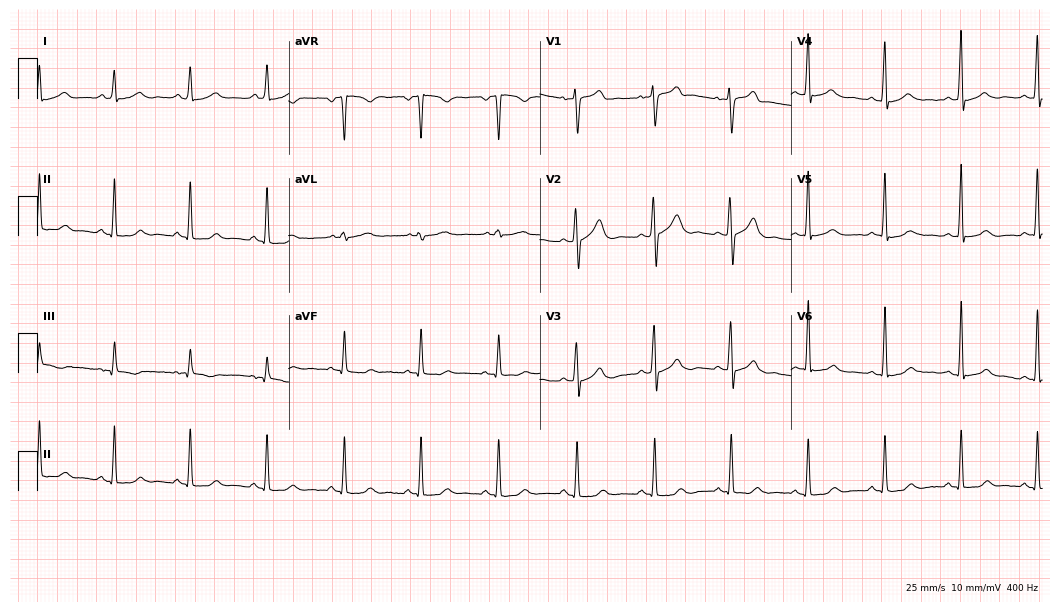
12-lead ECG (10.2-second recording at 400 Hz) from a man, 48 years old. Labelled as a normal ECG.